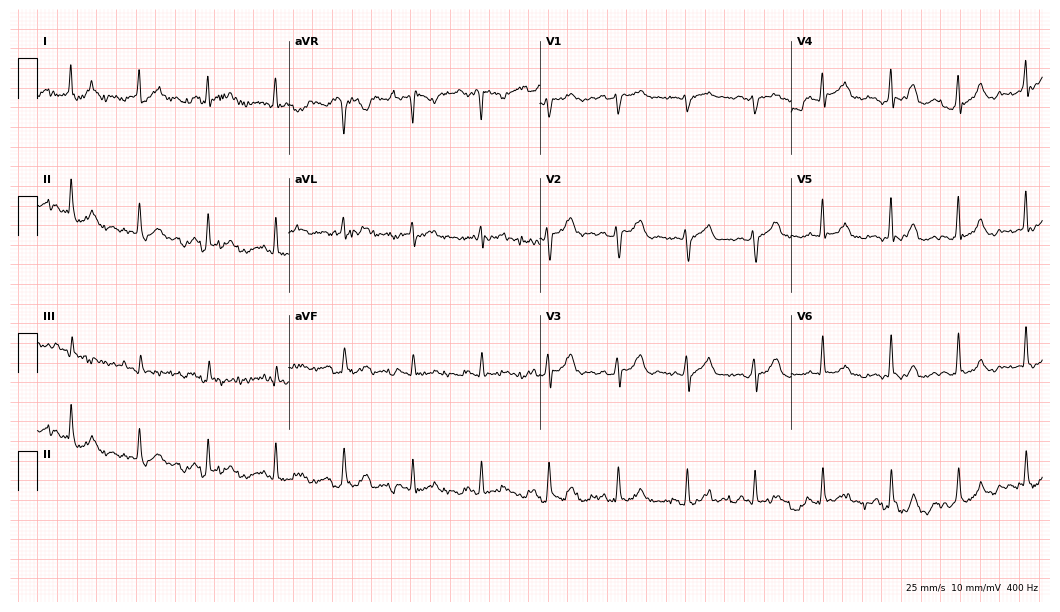
Standard 12-lead ECG recorded from a 57-year-old man. None of these six findings is recorded: first-degree AV block, right bundle branch block, left bundle branch block, sinus bradycardia, atrial fibrillation, sinus tachycardia.